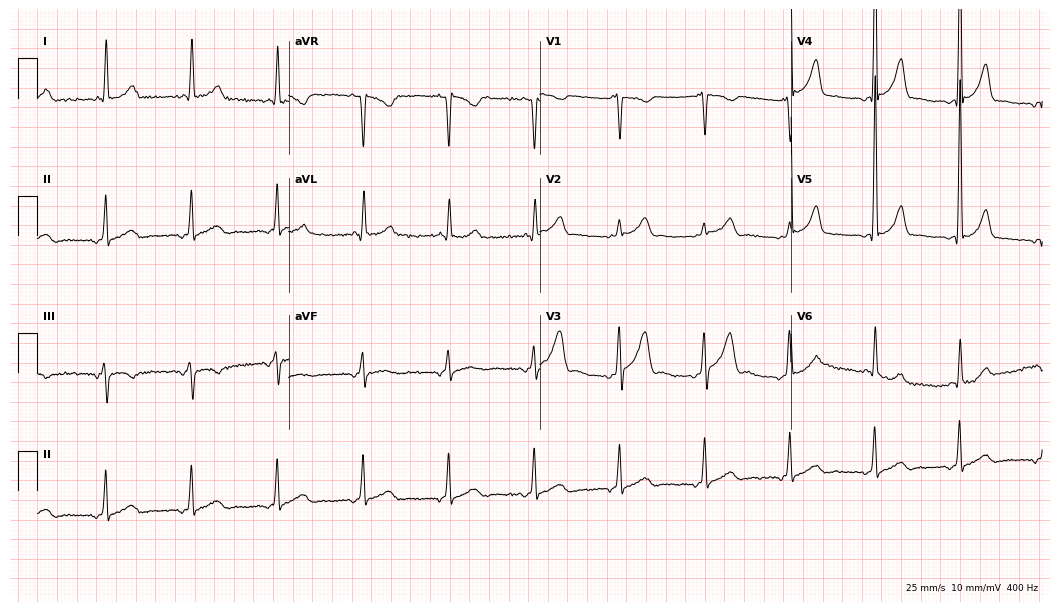
12-lead ECG (10.2-second recording at 400 Hz) from a man, 65 years old. Labelled as a normal ECG.